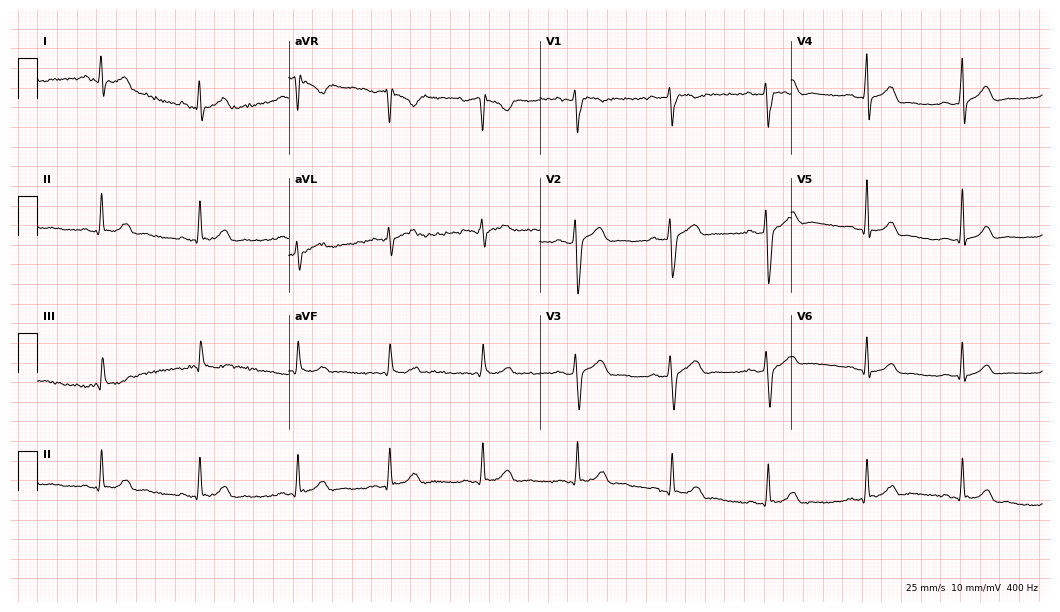
12-lead ECG from a male, 32 years old. No first-degree AV block, right bundle branch block, left bundle branch block, sinus bradycardia, atrial fibrillation or sinus tachycardia recorded for this tracing. Findings outside these six are not listed.